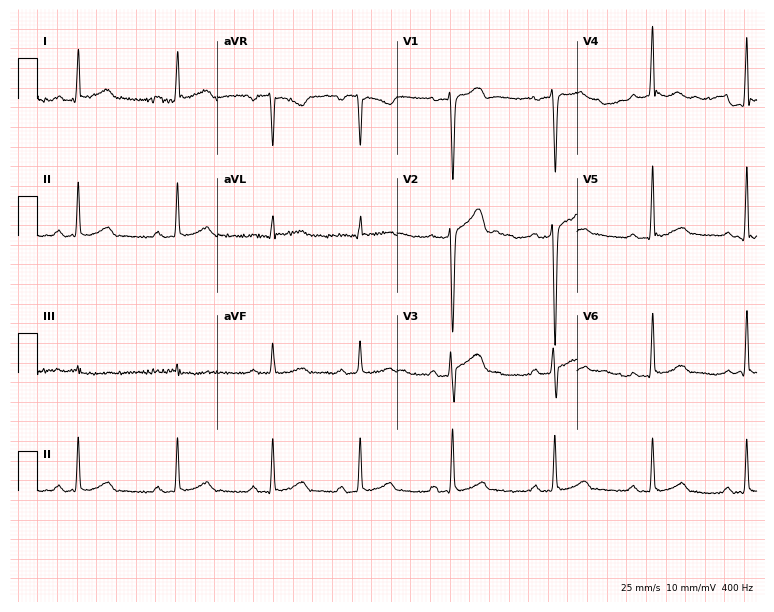
12-lead ECG from a male patient, 21 years old (7.3-second recording at 400 Hz). Recorded interpretation: within normal limits.